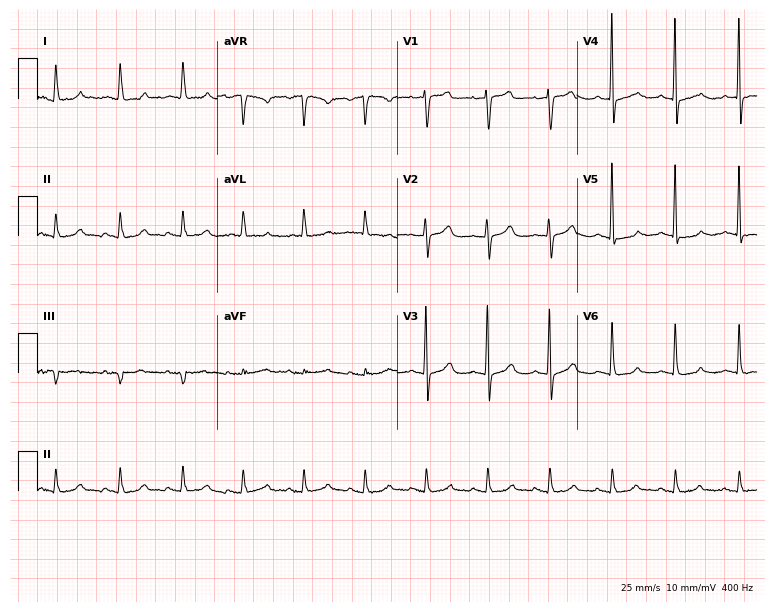
12-lead ECG from a 63-year-old woman (7.3-second recording at 400 Hz). Recorded interpretation: within normal limits.